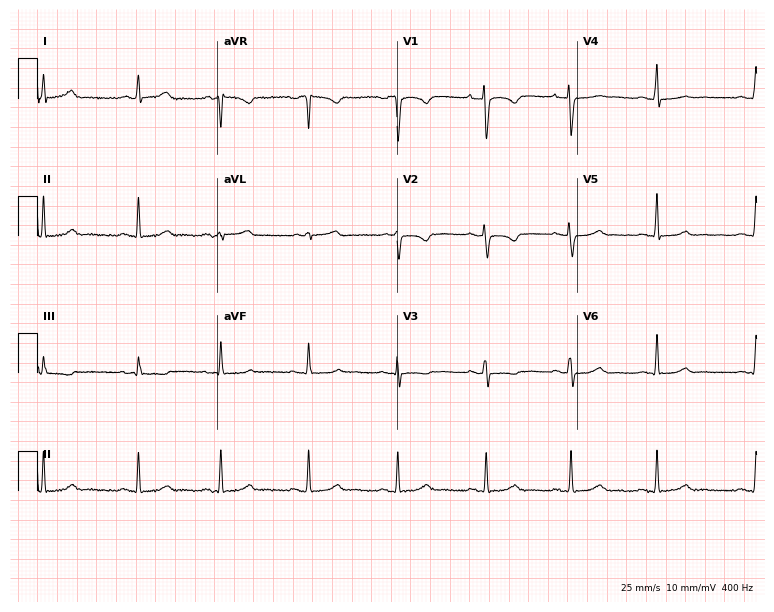
Standard 12-lead ECG recorded from a 34-year-old woman. None of these six findings is recorded: first-degree AV block, right bundle branch block (RBBB), left bundle branch block (LBBB), sinus bradycardia, atrial fibrillation (AF), sinus tachycardia.